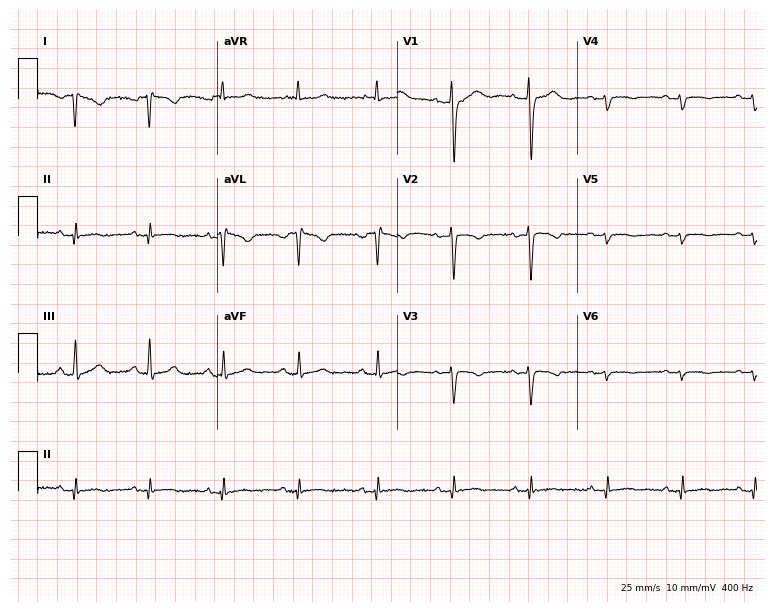
Electrocardiogram, a 38-year-old female patient. Of the six screened findings (first-degree AV block, right bundle branch block, left bundle branch block, sinus bradycardia, atrial fibrillation, sinus tachycardia), none is recorded.